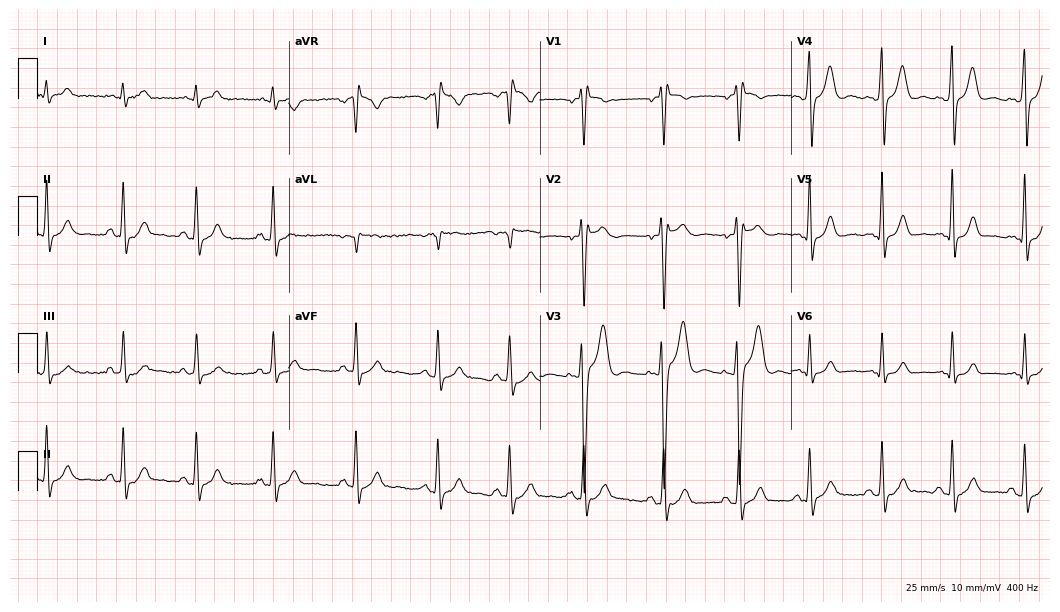
12-lead ECG (10.2-second recording at 400 Hz) from a 17-year-old male. Findings include right bundle branch block.